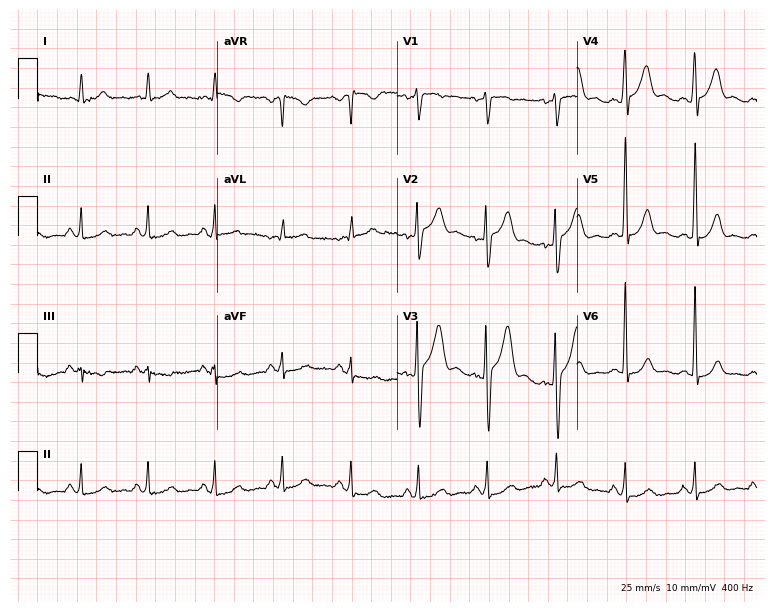
Resting 12-lead electrocardiogram. Patient: a male, 48 years old. Read as a normal ECG.